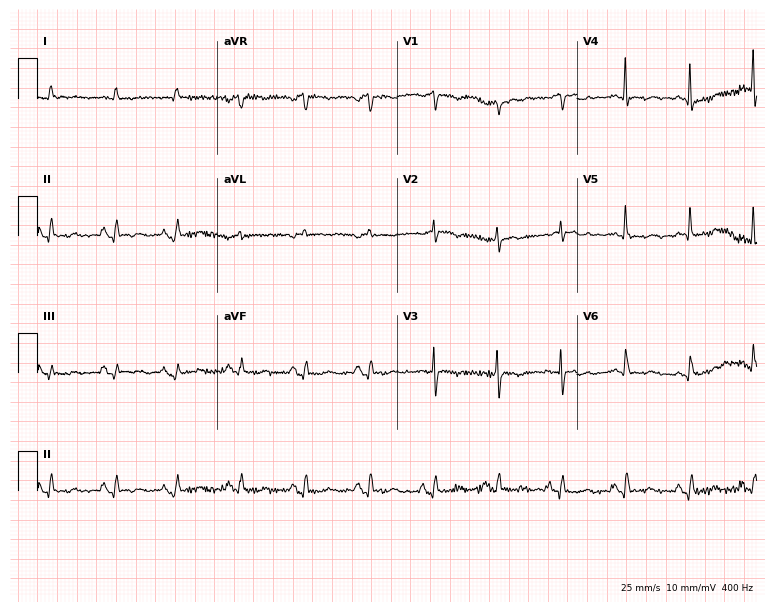
Resting 12-lead electrocardiogram (7.3-second recording at 400 Hz). Patient: a female, 75 years old. None of these six findings is recorded: first-degree AV block, right bundle branch block, left bundle branch block, sinus bradycardia, atrial fibrillation, sinus tachycardia.